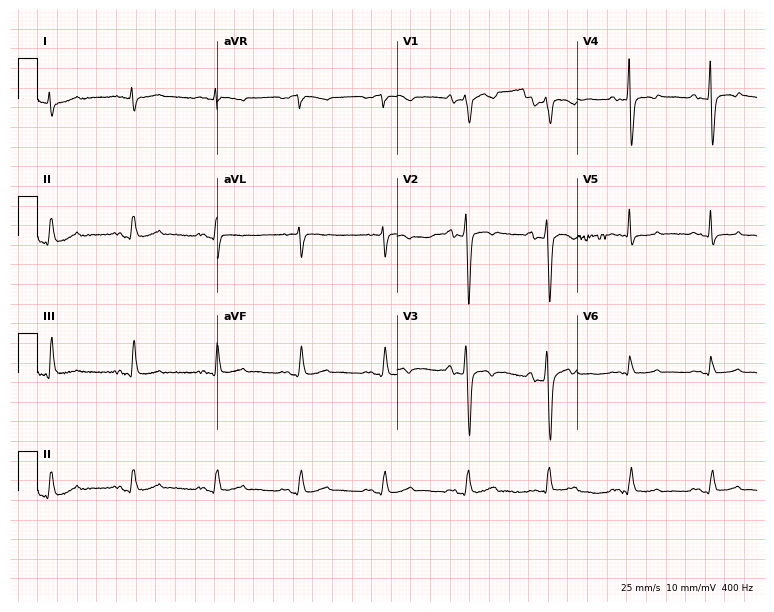
ECG (7.3-second recording at 400 Hz) — a 72-year-old man. Labelled as a normal ECG.